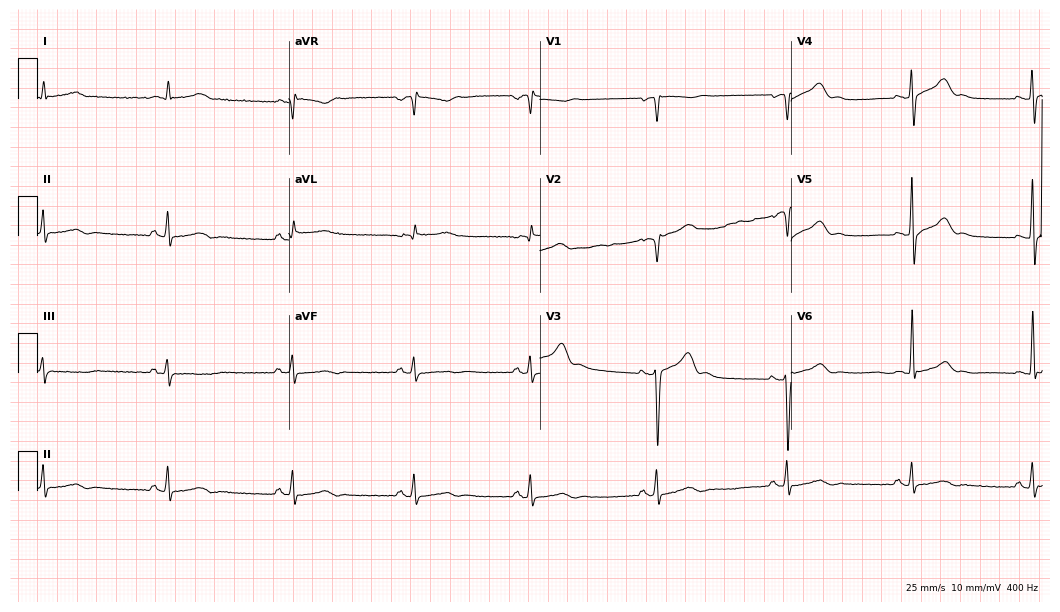
12-lead ECG from a male, 54 years old. No first-degree AV block, right bundle branch block, left bundle branch block, sinus bradycardia, atrial fibrillation or sinus tachycardia recorded for this tracing. Findings outside these six are not listed.